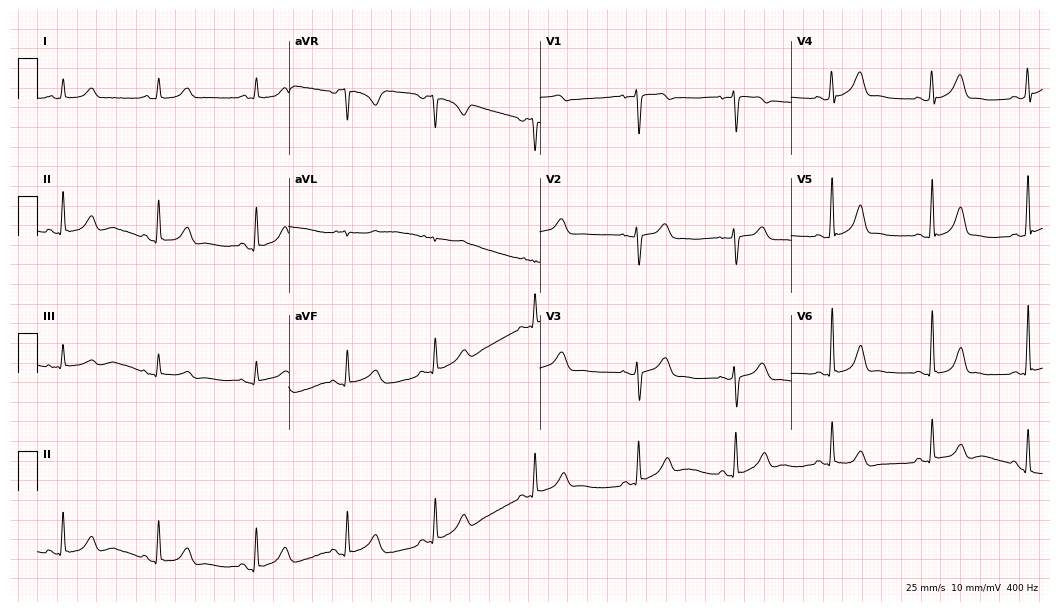
Resting 12-lead electrocardiogram. Patient: a 35-year-old female. Read as a normal ECG.